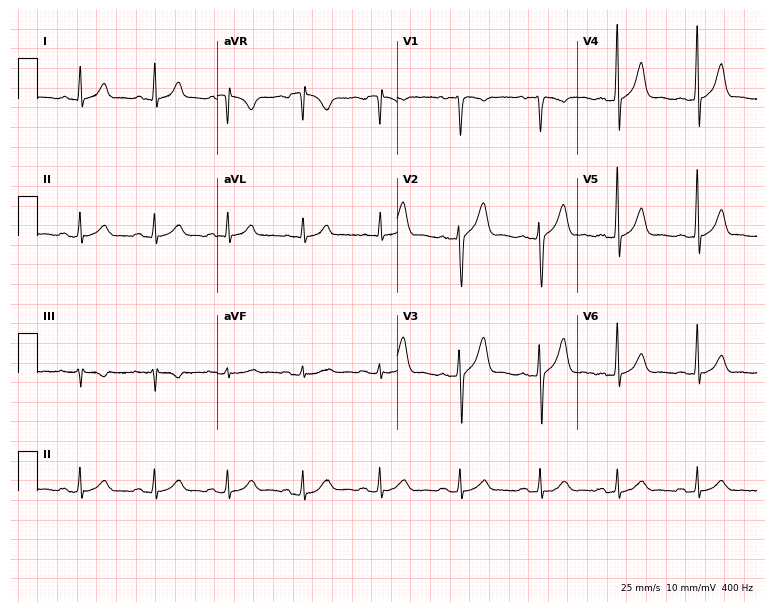
ECG (7.3-second recording at 400 Hz) — a male patient, 42 years old. Labelled as a normal ECG.